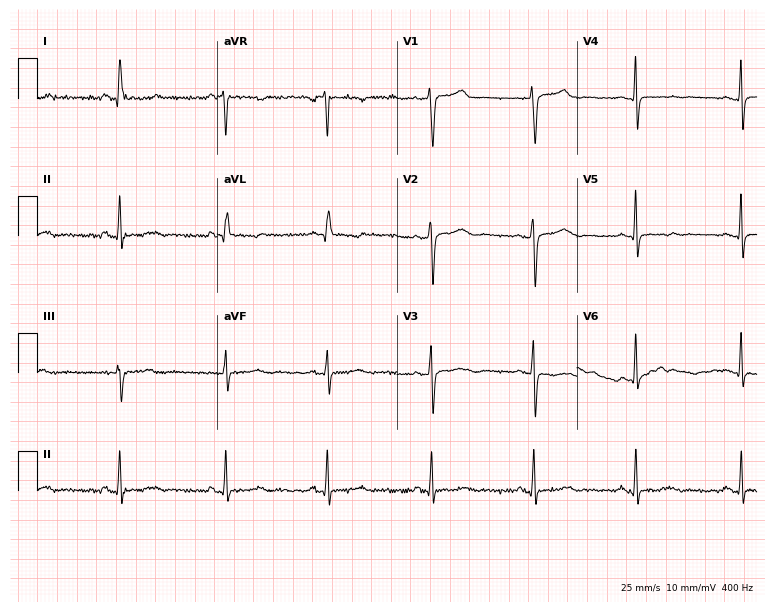
12-lead ECG from a 52-year-old woman. Screened for six findings — first-degree AV block, right bundle branch block, left bundle branch block, sinus bradycardia, atrial fibrillation, sinus tachycardia — none is recorded. Findings outside these six are not listed.